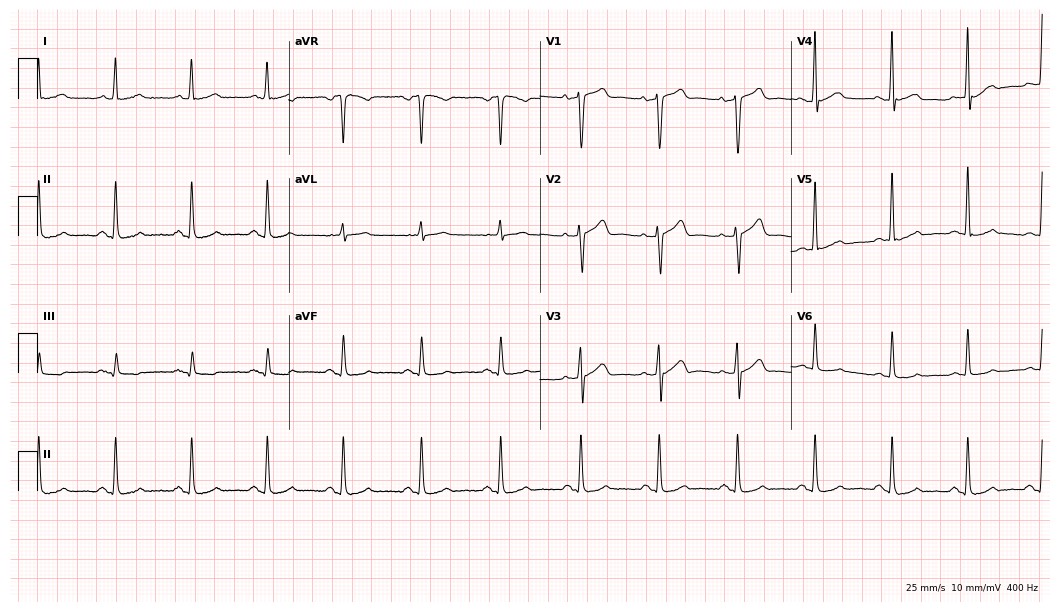
Standard 12-lead ECG recorded from a 54-year-old man (10.2-second recording at 400 Hz). Read as a normal ECG.